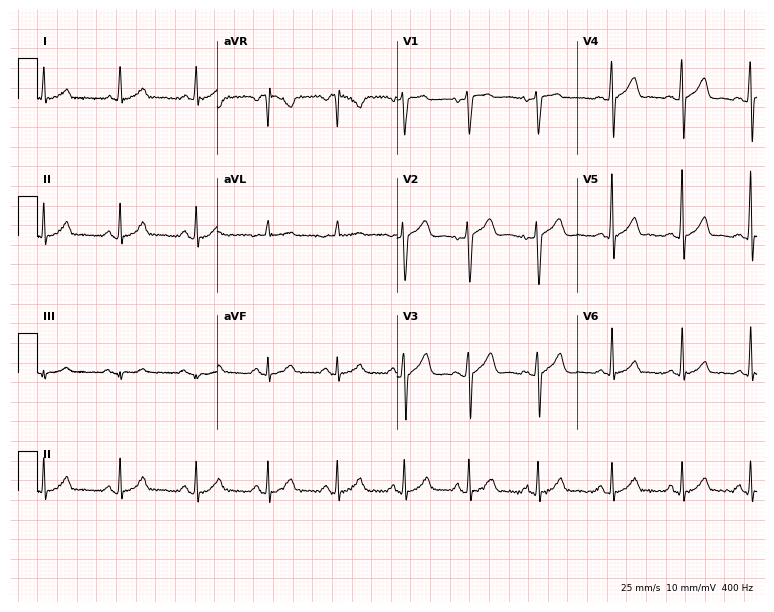
Resting 12-lead electrocardiogram. Patient: a 21-year-old male. Read as a normal ECG.